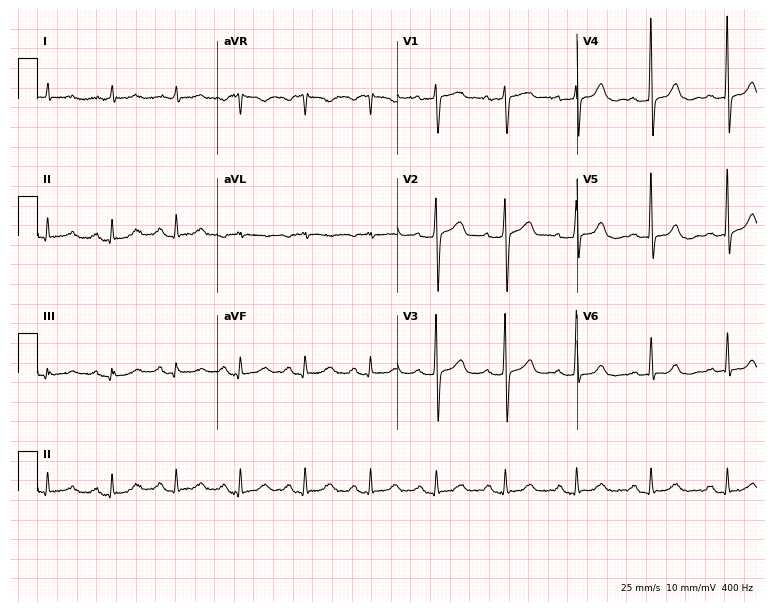
Electrocardiogram, a male, 58 years old. Overall reading on record: normal ECG.